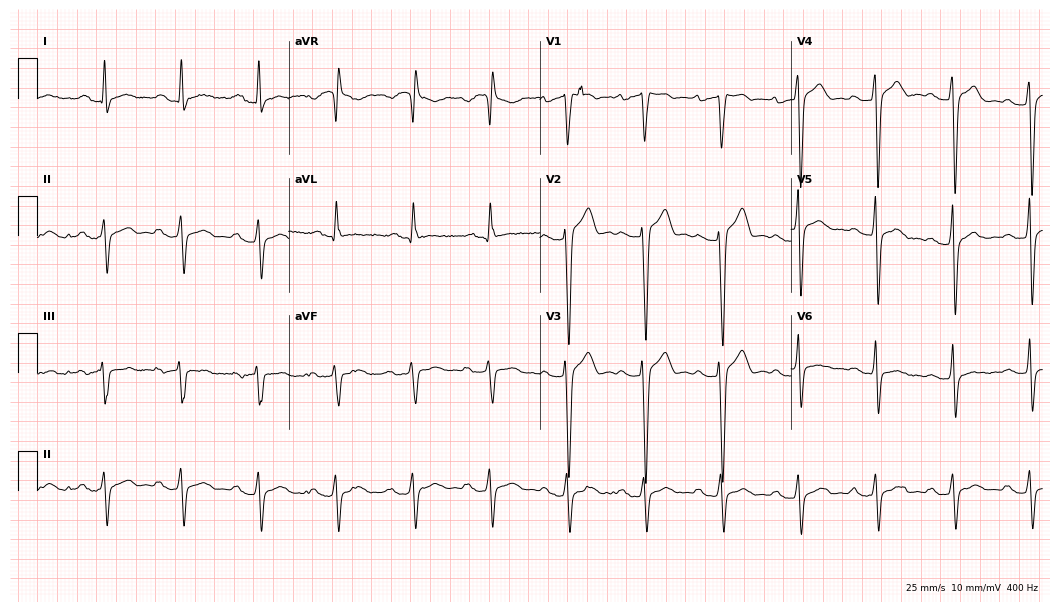
Standard 12-lead ECG recorded from a 52-year-old man. None of these six findings is recorded: first-degree AV block, right bundle branch block, left bundle branch block, sinus bradycardia, atrial fibrillation, sinus tachycardia. Only these six findings were labelled.